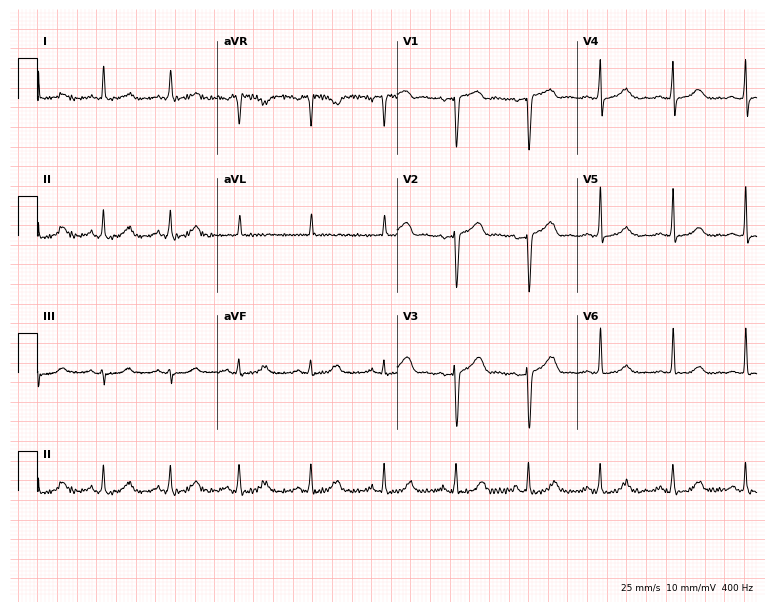
12-lead ECG (7.3-second recording at 400 Hz) from a female patient, 53 years old. Screened for six findings — first-degree AV block, right bundle branch block, left bundle branch block, sinus bradycardia, atrial fibrillation, sinus tachycardia — none is recorded.